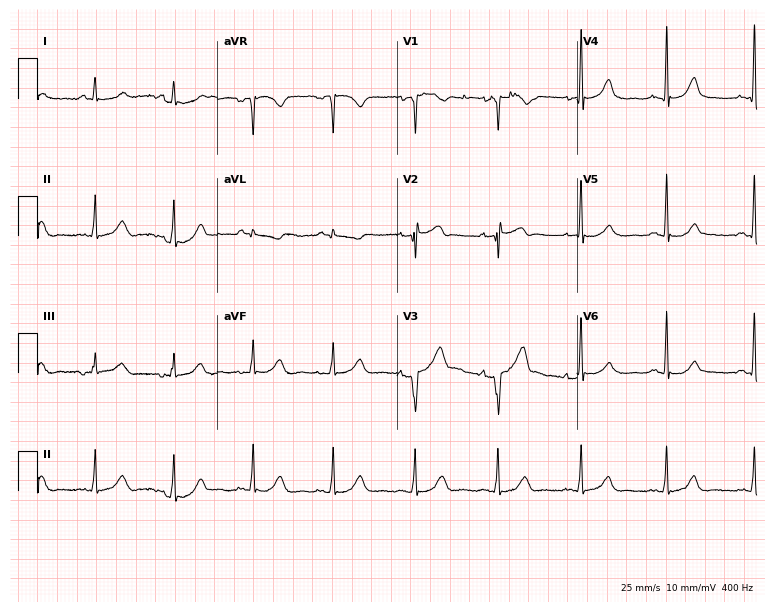
ECG — a man, 63 years old. Screened for six findings — first-degree AV block, right bundle branch block, left bundle branch block, sinus bradycardia, atrial fibrillation, sinus tachycardia — none is recorded.